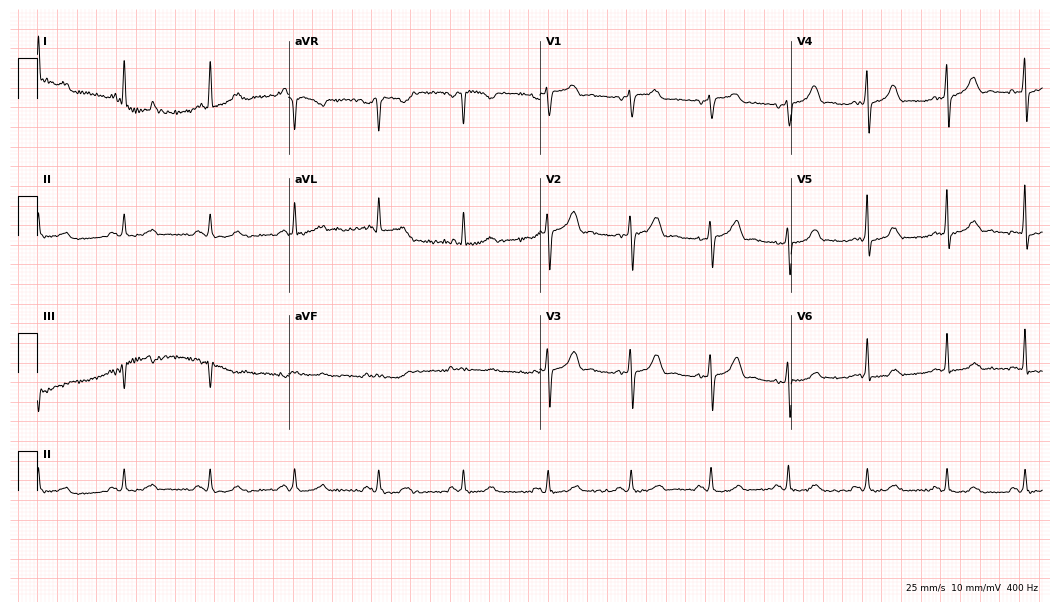
Resting 12-lead electrocardiogram (10.2-second recording at 400 Hz). Patient: a 55-year-old female. Read as a normal ECG.